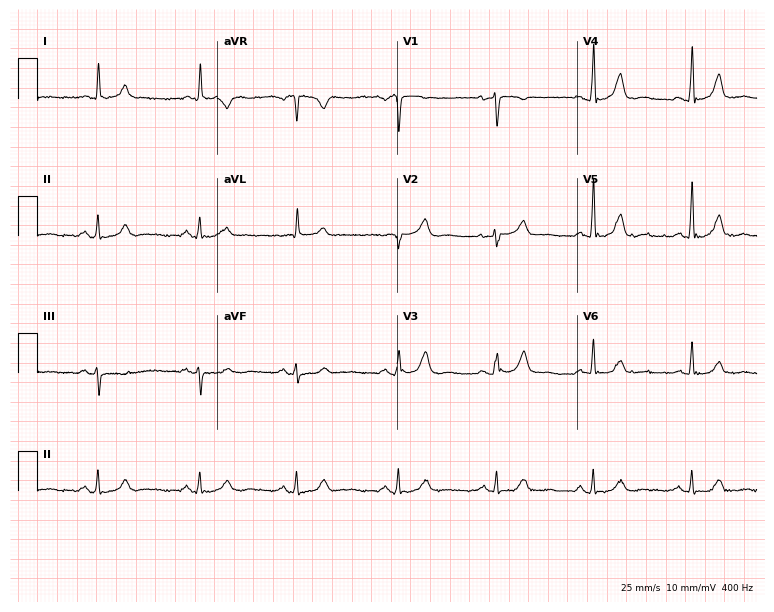
Resting 12-lead electrocardiogram (7.3-second recording at 400 Hz). Patient: a female, 61 years old. Read as a normal ECG.